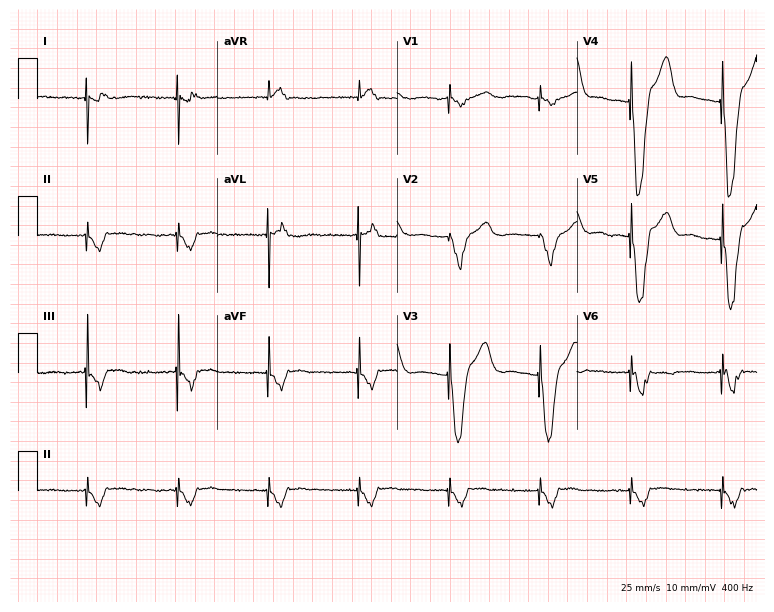
Electrocardiogram, a 69-year-old male. Of the six screened findings (first-degree AV block, right bundle branch block (RBBB), left bundle branch block (LBBB), sinus bradycardia, atrial fibrillation (AF), sinus tachycardia), none is recorded. Only these six findings were labelled.